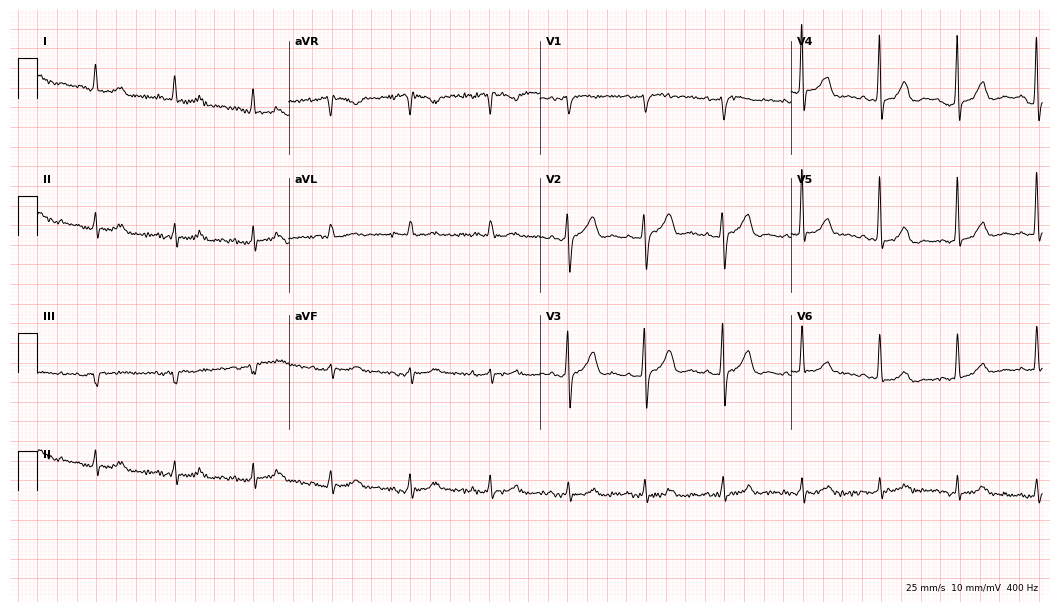
ECG (10.2-second recording at 400 Hz) — a female, 82 years old. Screened for six findings — first-degree AV block, right bundle branch block, left bundle branch block, sinus bradycardia, atrial fibrillation, sinus tachycardia — none is recorded. Findings outside these six are not listed.